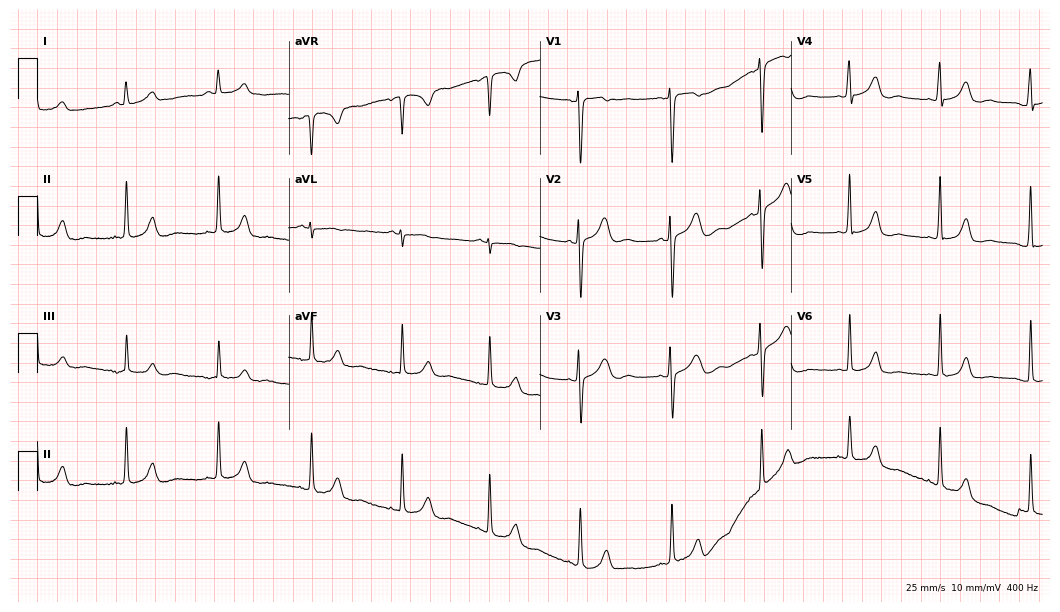
Resting 12-lead electrocardiogram. Patient: a woman, 28 years old. None of these six findings is recorded: first-degree AV block, right bundle branch block (RBBB), left bundle branch block (LBBB), sinus bradycardia, atrial fibrillation (AF), sinus tachycardia.